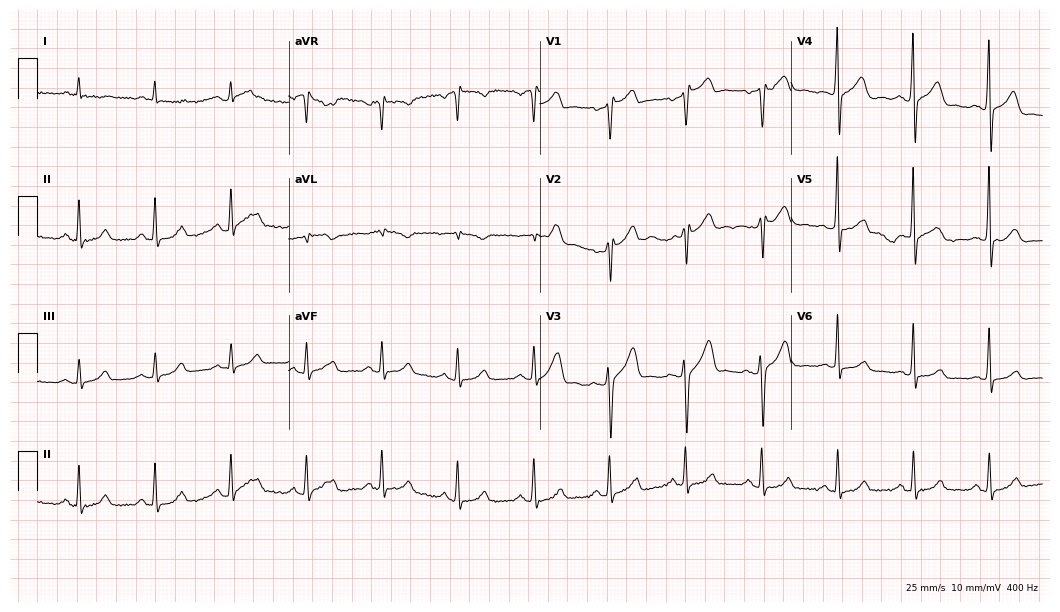
Resting 12-lead electrocardiogram. Patient: a 55-year-old male. None of these six findings is recorded: first-degree AV block, right bundle branch block, left bundle branch block, sinus bradycardia, atrial fibrillation, sinus tachycardia. Other findings, if any, are not listed.